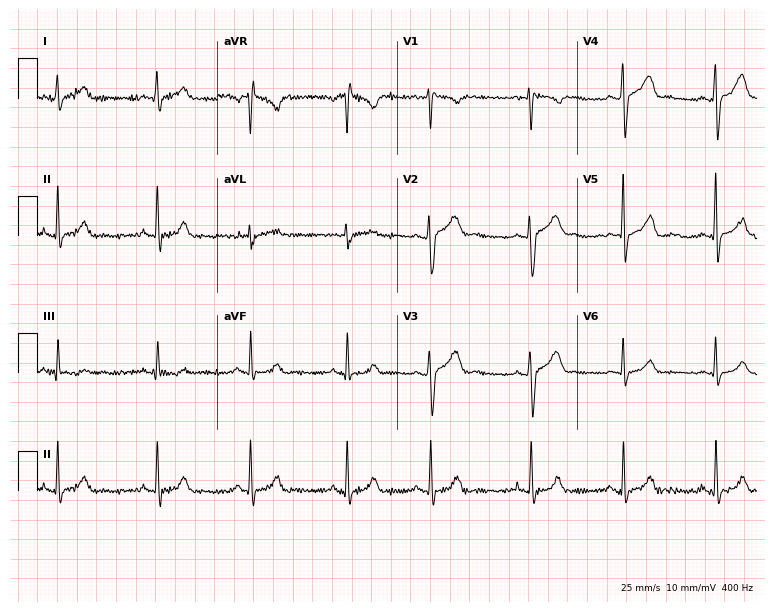
12-lead ECG (7.3-second recording at 400 Hz) from a female patient, 33 years old. Screened for six findings — first-degree AV block, right bundle branch block (RBBB), left bundle branch block (LBBB), sinus bradycardia, atrial fibrillation (AF), sinus tachycardia — none is recorded. Only these six findings were labelled.